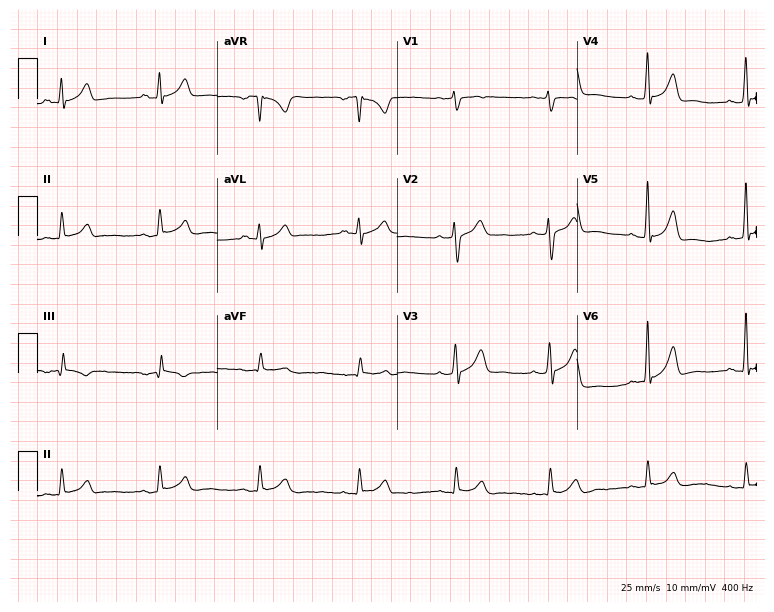
Standard 12-lead ECG recorded from a 35-year-old male (7.3-second recording at 400 Hz). None of these six findings is recorded: first-degree AV block, right bundle branch block (RBBB), left bundle branch block (LBBB), sinus bradycardia, atrial fibrillation (AF), sinus tachycardia. Other findings, if any, are not listed.